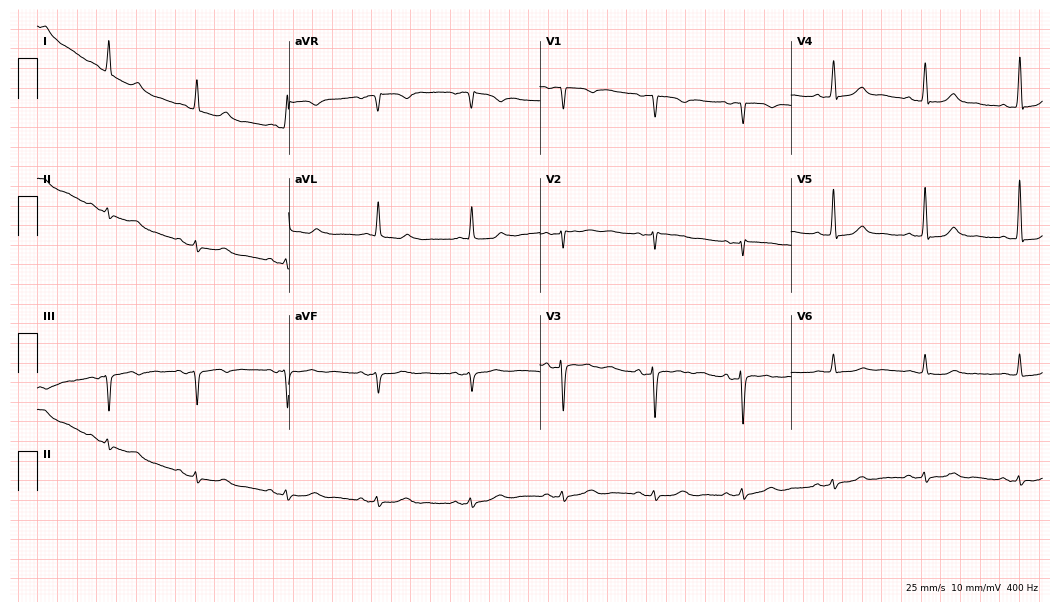
Electrocardiogram, an 83-year-old woman. Overall reading on record: normal ECG.